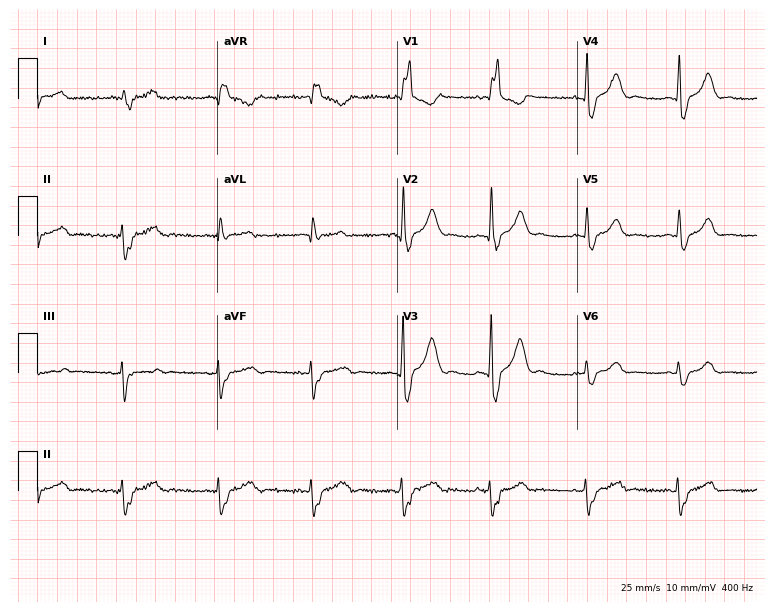
12-lead ECG from a male patient, 71 years old (7.3-second recording at 400 Hz). No first-degree AV block, right bundle branch block (RBBB), left bundle branch block (LBBB), sinus bradycardia, atrial fibrillation (AF) or sinus tachycardia recorded for this tracing. Only these six findings were labelled.